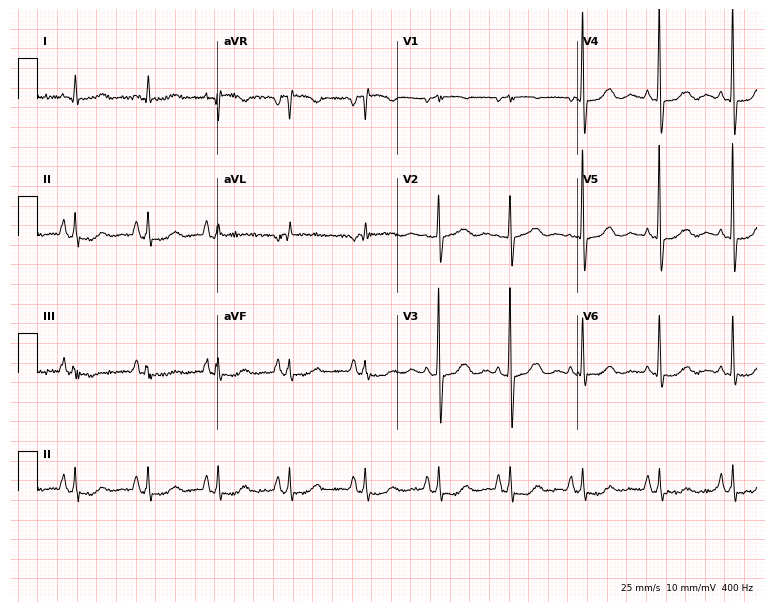
12-lead ECG from a 77-year-old female patient (7.3-second recording at 400 Hz). No first-degree AV block, right bundle branch block (RBBB), left bundle branch block (LBBB), sinus bradycardia, atrial fibrillation (AF) or sinus tachycardia recorded for this tracing. Only these six findings were labelled.